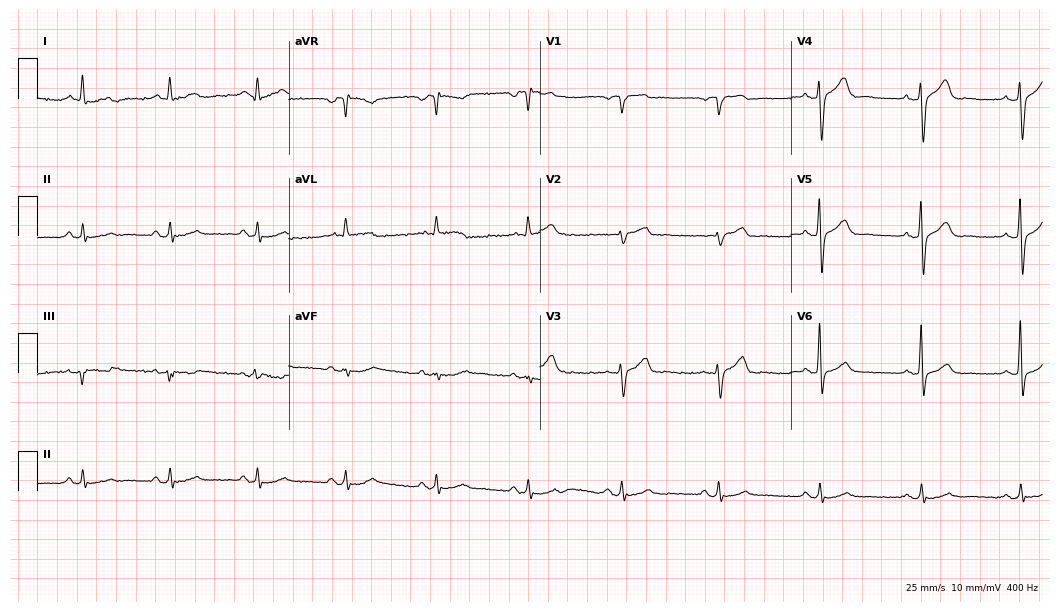
ECG — a 52-year-old male patient. Labelled as a normal ECG.